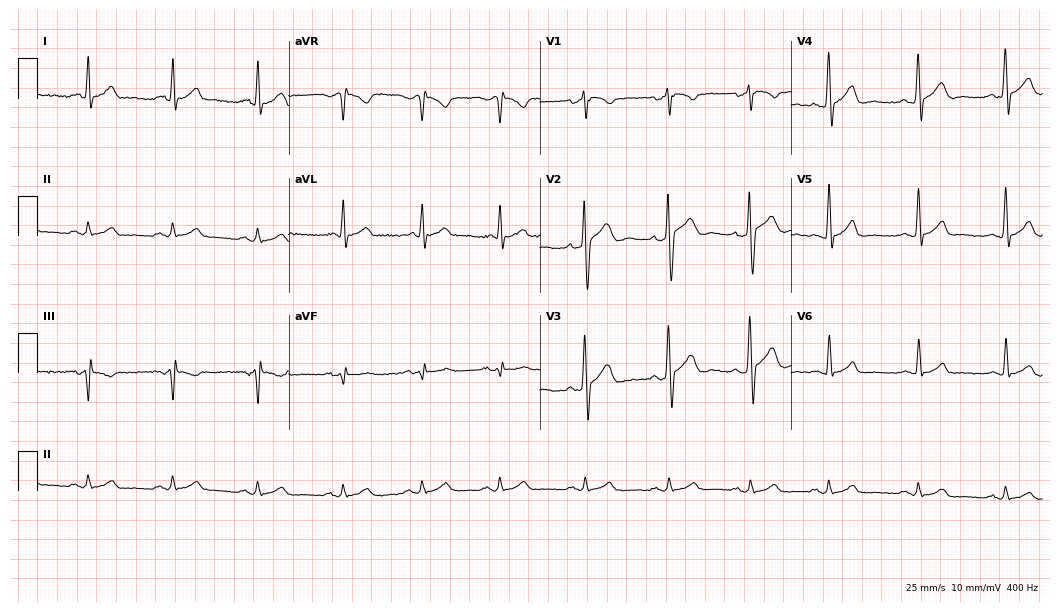
ECG (10.2-second recording at 400 Hz) — a man, 46 years old. Screened for six findings — first-degree AV block, right bundle branch block (RBBB), left bundle branch block (LBBB), sinus bradycardia, atrial fibrillation (AF), sinus tachycardia — none is recorded. Only these six findings were labelled.